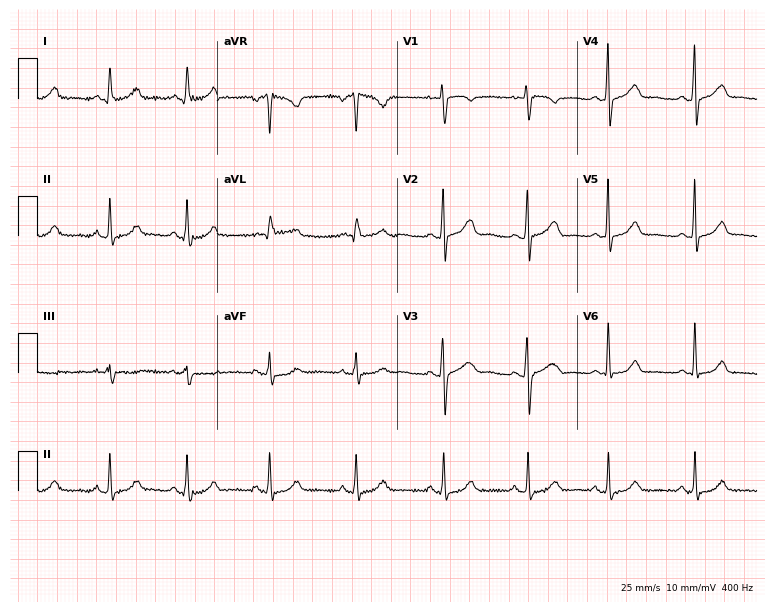
Electrocardiogram (7.3-second recording at 400 Hz), a female, 27 years old. Overall reading on record: normal ECG.